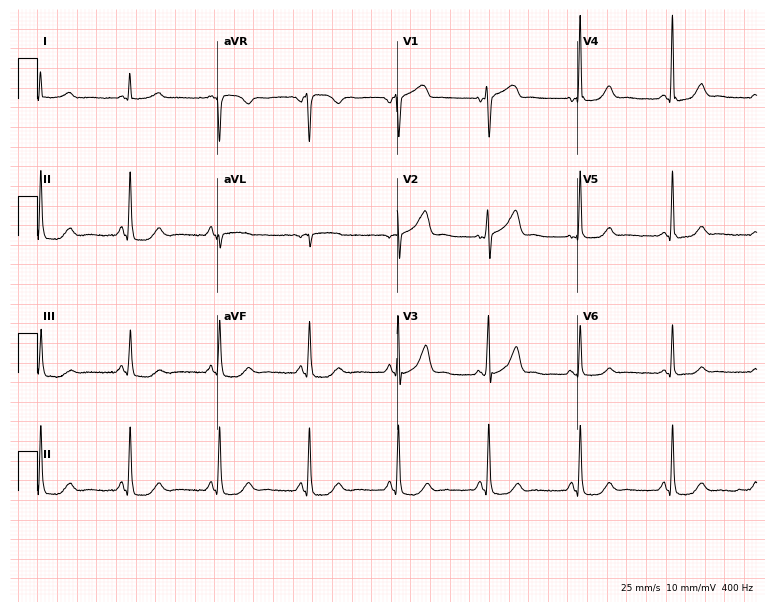
Resting 12-lead electrocardiogram (7.3-second recording at 400 Hz). Patient: a woman, 55 years old. None of these six findings is recorded: first-degree AV block, right bundle branch block (RBBB), left bundle branch block (LBBB), sinus bradycardia, atrial fibrillation (AF), sinus tachycardia.